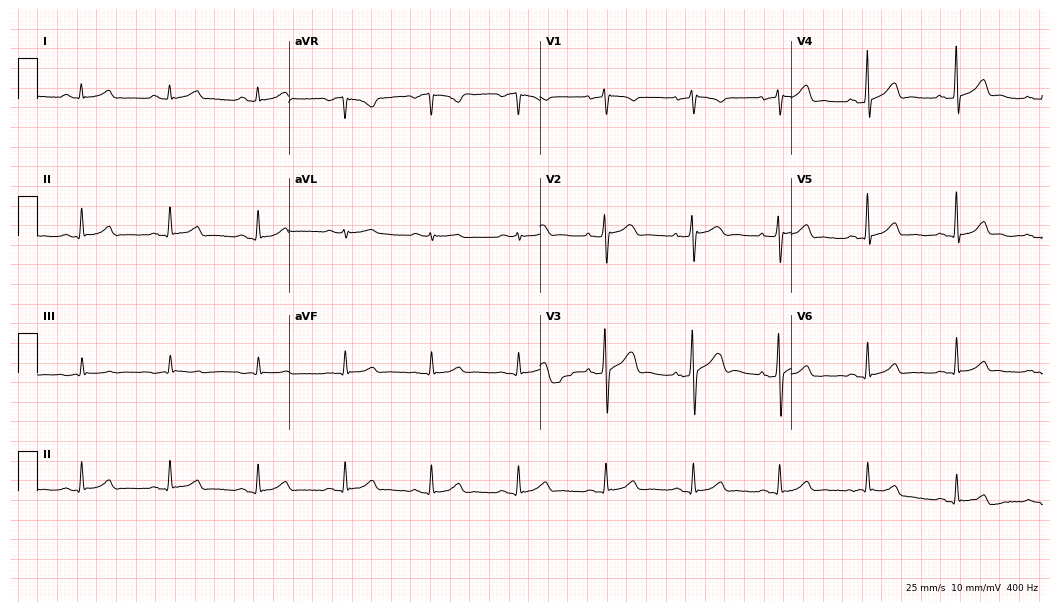
Electrocardiogram, a man, 50 years old. Overall reading on record: normal ECG.